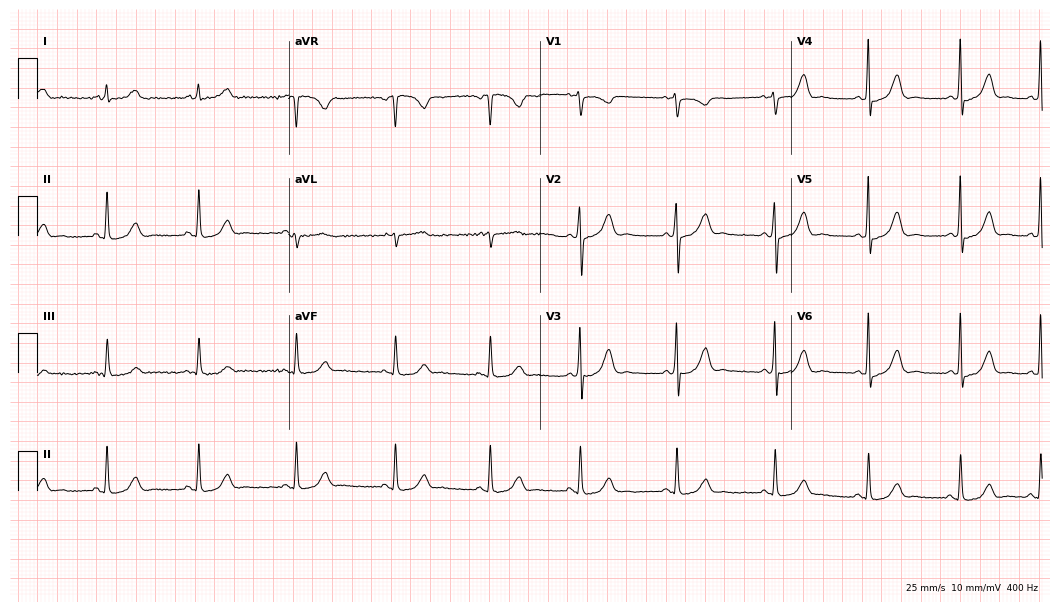
Standard 12-lead ECG recorded from a female, 42 years old. Read as a normal ECG.